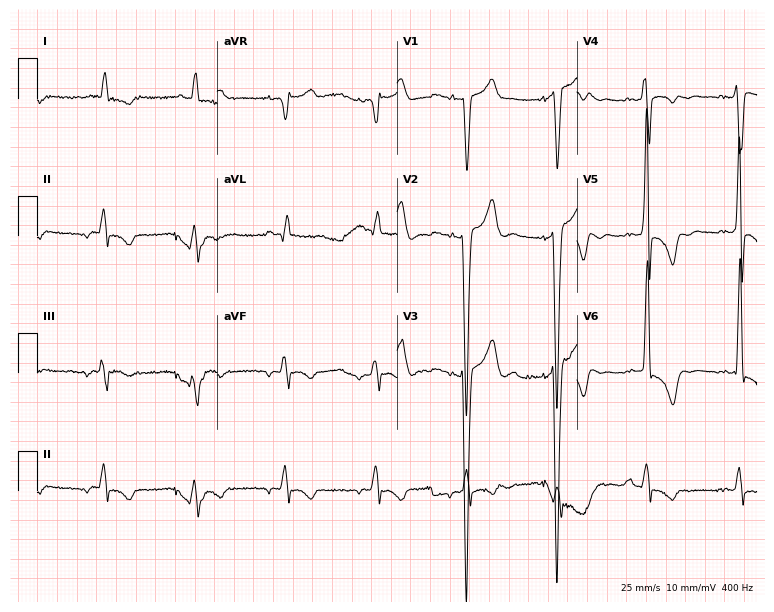
Resting 12-lead electrocardiogram (7.3-second recording at 400 Hz). Patient: a 79-year-old male. None of these six findings is recorded: first-degree AV block, right bundle branch block (RBBB), left bundle branch block (LBBB), sinus bradycardia, atrial fibrillation (AF), sinus tachycardia.